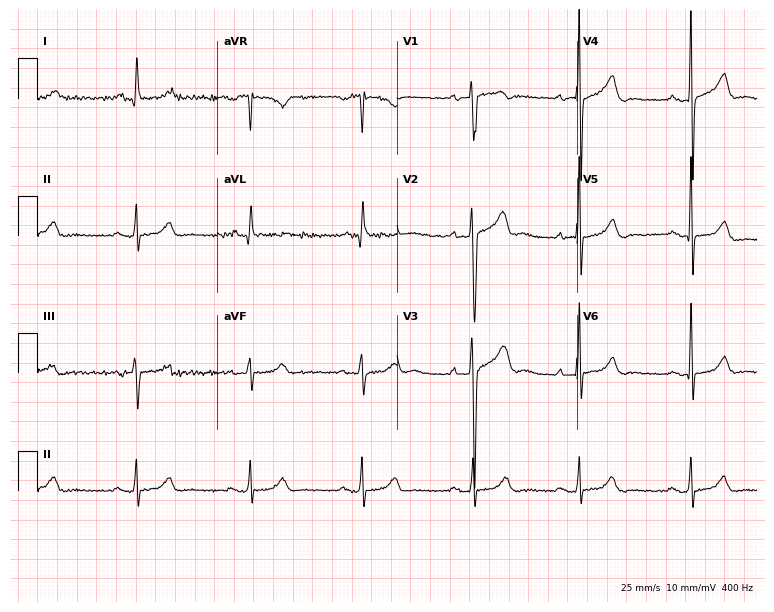
Resting 12-lead electrocardiogram (7.3-second recording at 400 Hz). Patient: a 63-year-old man. The tracing shows sinus bradycardia (a sinus rate of 50 beats per minute or less).